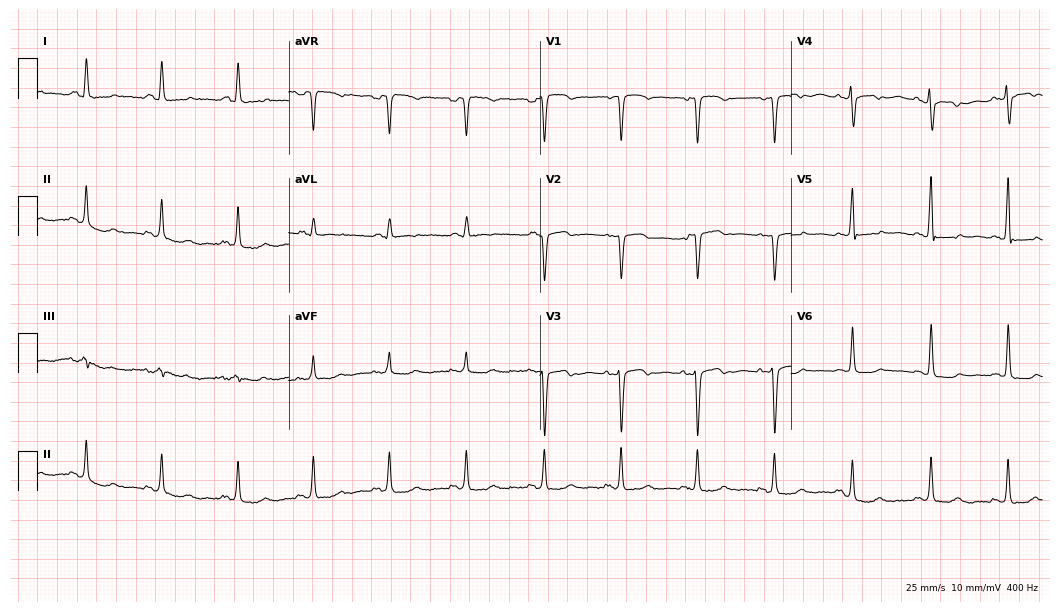
Standard 12-lead ECG recorded from a female, 54 years old. None of these six findings is recorded: first-degree AV block, right bundle branch block, left bundle branch block, sinus bradycardia, atrial fibrillation, sinus tachycardia.